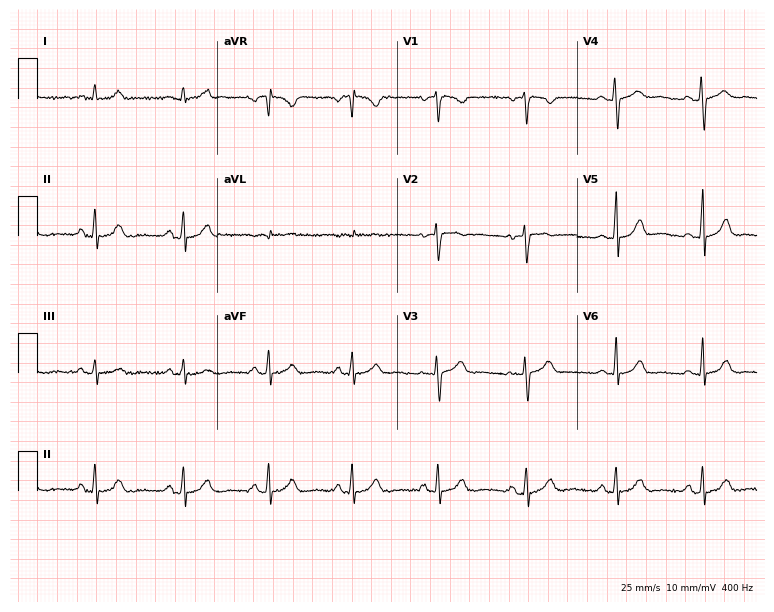
ECG (7.3-second recording at 400 Hz) — a 23-year-old woman. Labelled as a normal ECG.